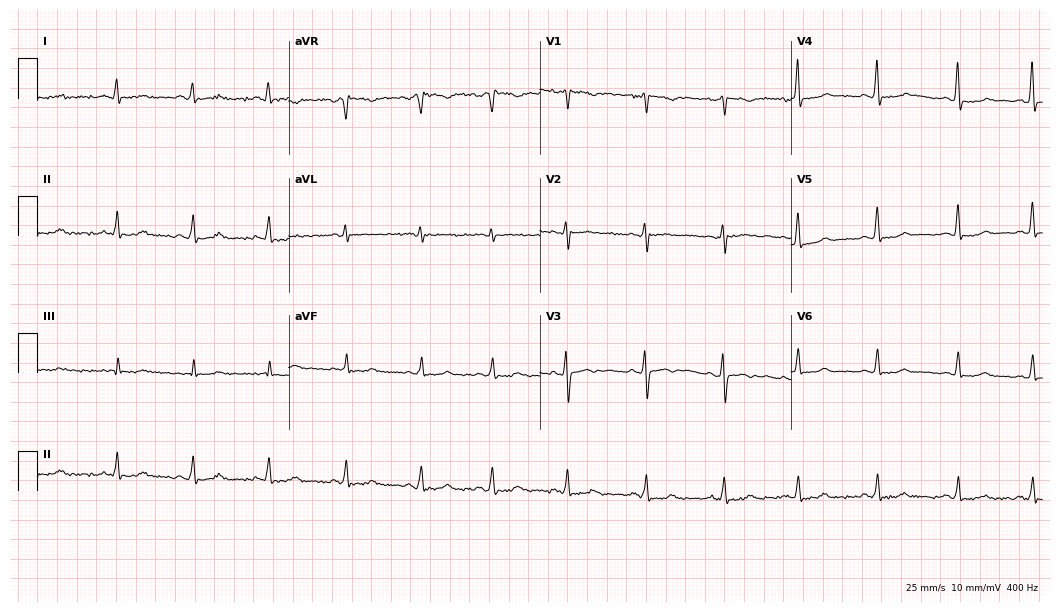
Electrocardiogram, a woman, 30 years old. Of the six screened findings (first-degree AV block, right bundle branch block (RBBB), left bundle branch block (LBBB), sinus bradycardia, atrial fibrillation (AF), sinus tachycardia), none is recorded.